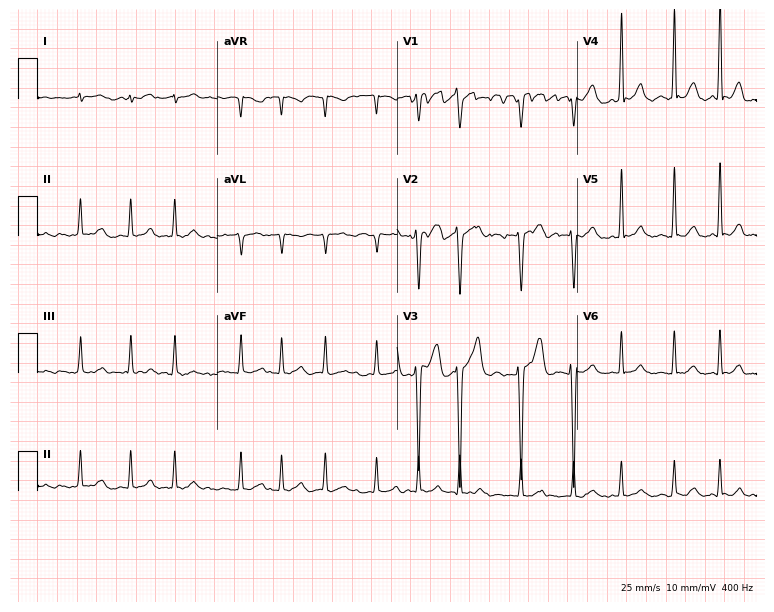
Resting 12-lead electrocardiogram. Patient: a male, 55 years old. The tracing shows atrial fibrillation.